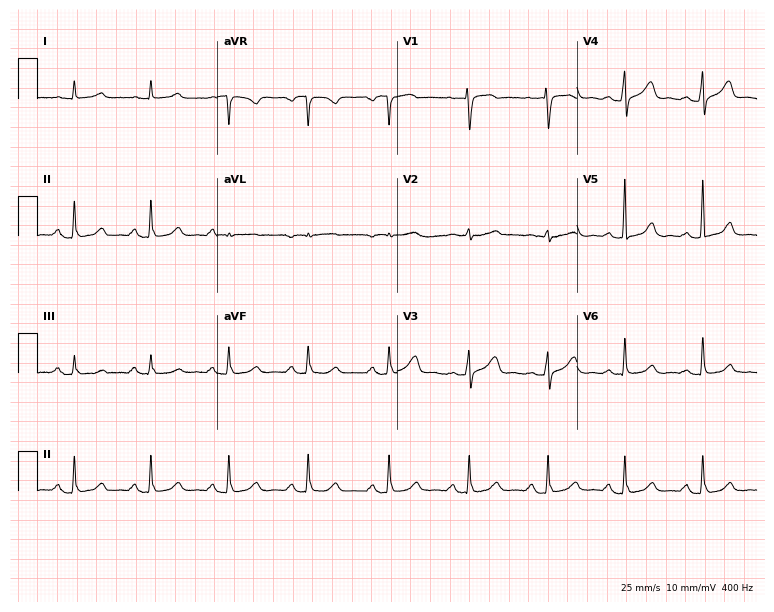
12-lead ECG (7.3-second recording at 400 Hz) from a female patient, 64 years old. Labelled as a normal ECG.